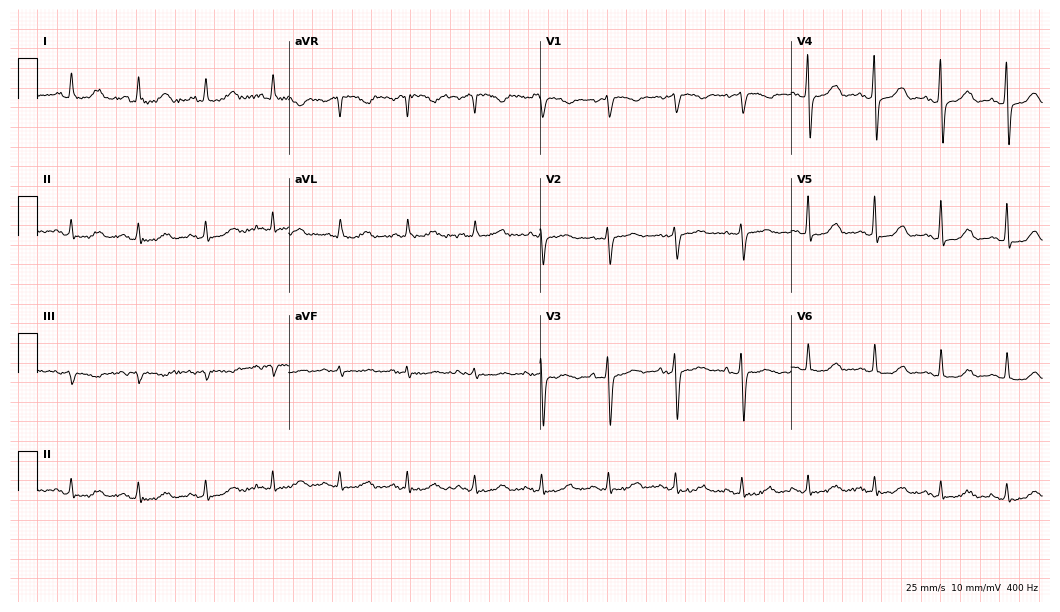
Standard 12-lead ECG recorded from a female, 69 years old. None of these six findings is recorded: first-degree AV block, right bundle branch block, left bundle branch block, sinus bradycardia, atrial fibrillation, sinus tachycardia.